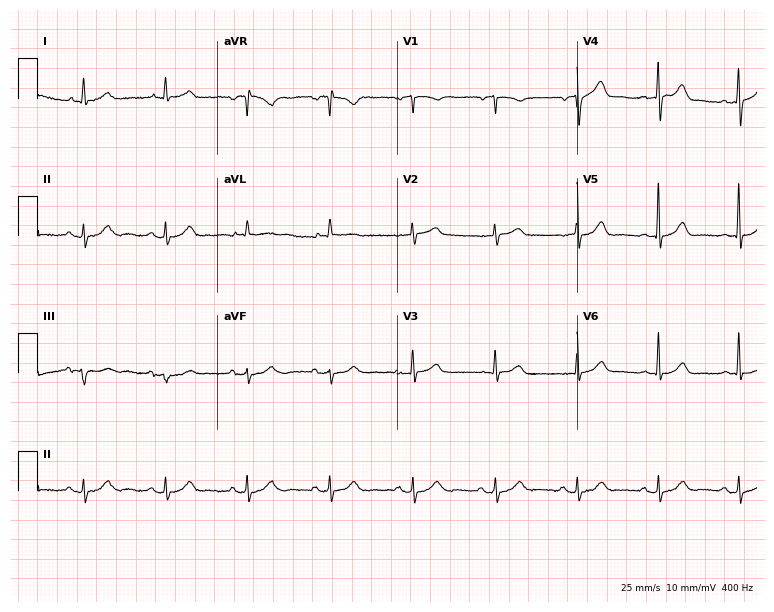
Resting 12-lead electrocardiogram. Patient: an 81-year-old man. Read as a normal ECG.